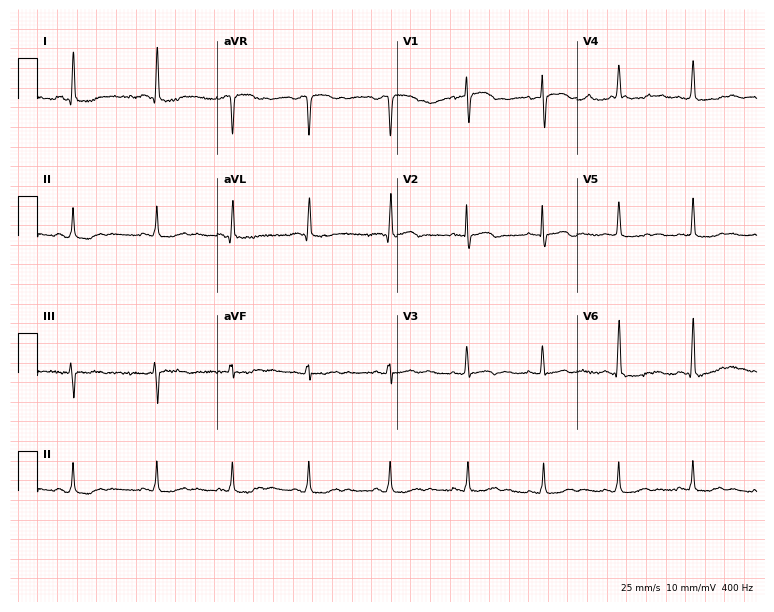
12-lead ECG (7.3-second recording at 400 Hz) from a 71-year-old woman. Screened for six findings — first-degree AV block, right bundle branch block, left bundle branch block, sinus bradycardia, atrial fibrillation, sinus tachycardia — none is recorded.